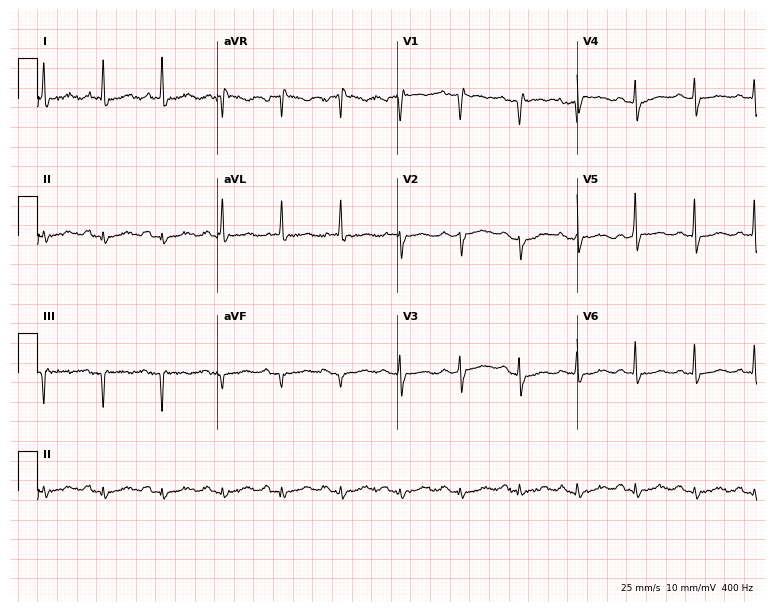
Resting 12-lead electrocardiogram. Patient: a female, 76 years old. None of these six findings is recorded: first-degree AV block, right bundle branch block (RBBB), left bundle branch block (LBBB), sinus bradycardia, atrial fibrillation (AF), sinus tachycardia.